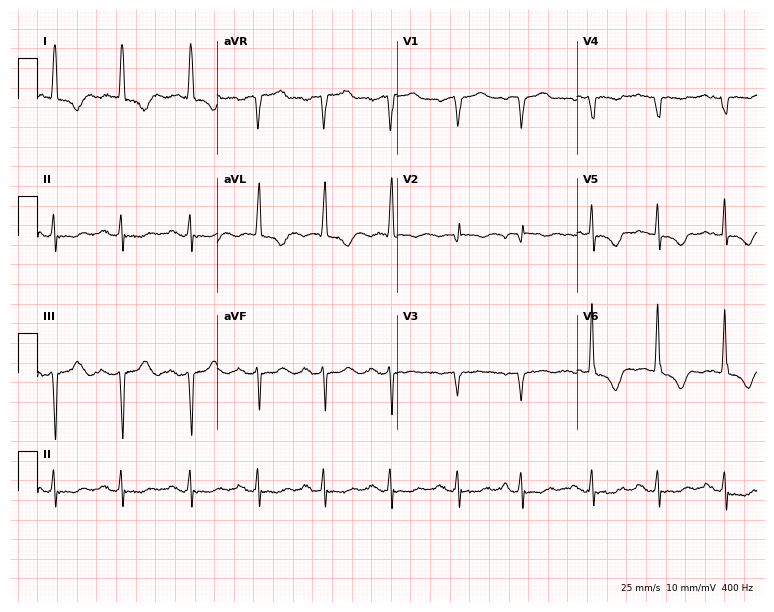
Electrocardiogram (7.3-second recording at 400 Hz), a female, 73 years old. Of the six screened findings (first-degree AV block, right bundle branch block, left bundle branch block, sinus bradycardia, atrial fibrillation, sinus tachycardia), none is recorded. Other findings, if any, are not listed.